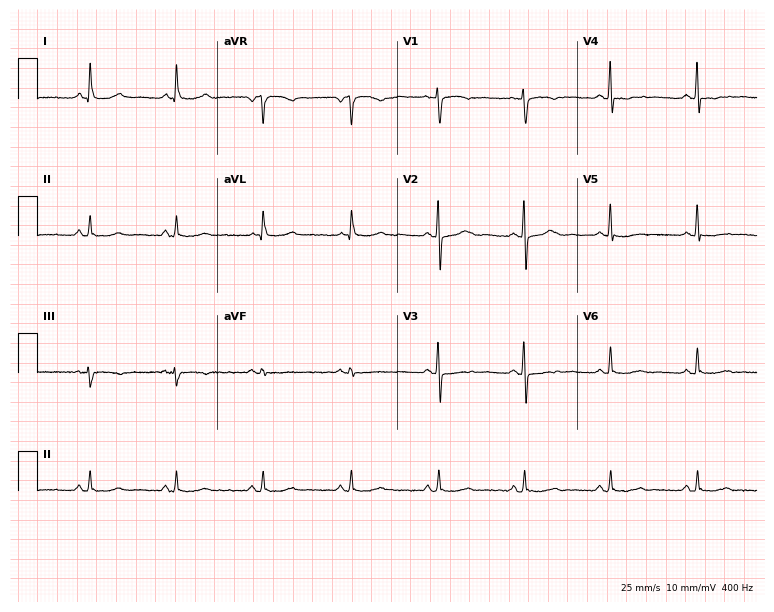
12-lead ECG from a woman, 62 years old. Screened for six findings — first-degree AV block, right bundle branch block, left bundle branch block, sinus bradycardia, atrial fibrillation, sinus tachycardia — none is recorded.